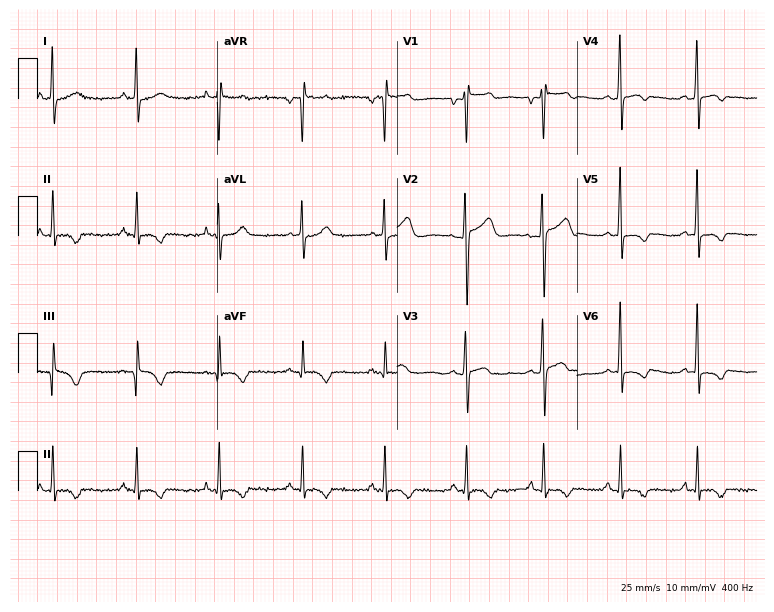
Electrocardiogram, a 23-year-old female. Of the six screened findings (first-degree AV block, right bundle branch block, left bundle branch block, sinus bradycardia, atrial fibrillation, sinus tachycardia), none is recorded. Findings outside these six are not listed.